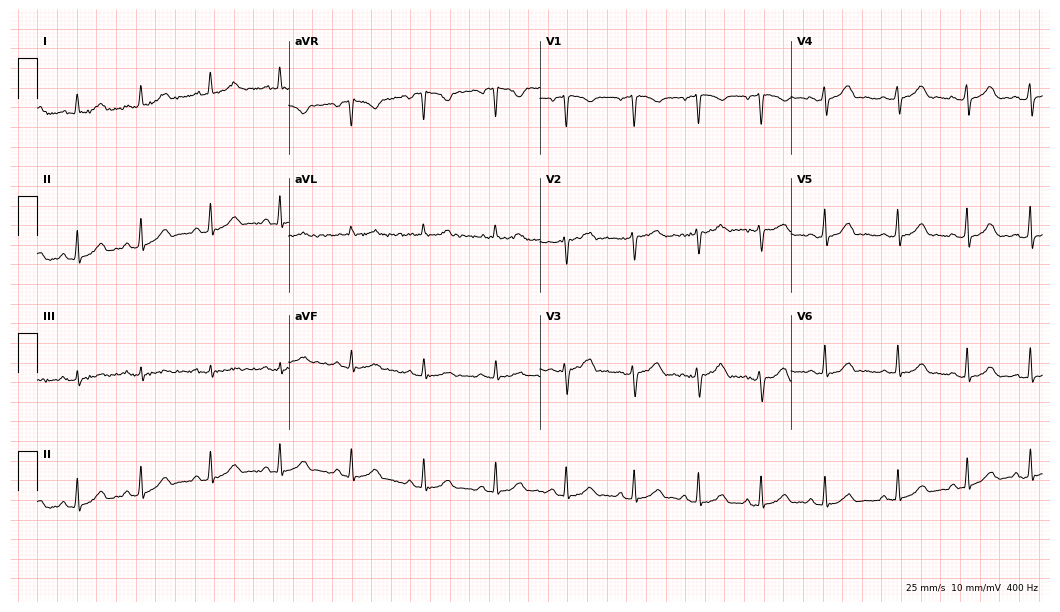
Electrocardiogram, a female patient, 34 years old. Overall reading on record: normal ECG.